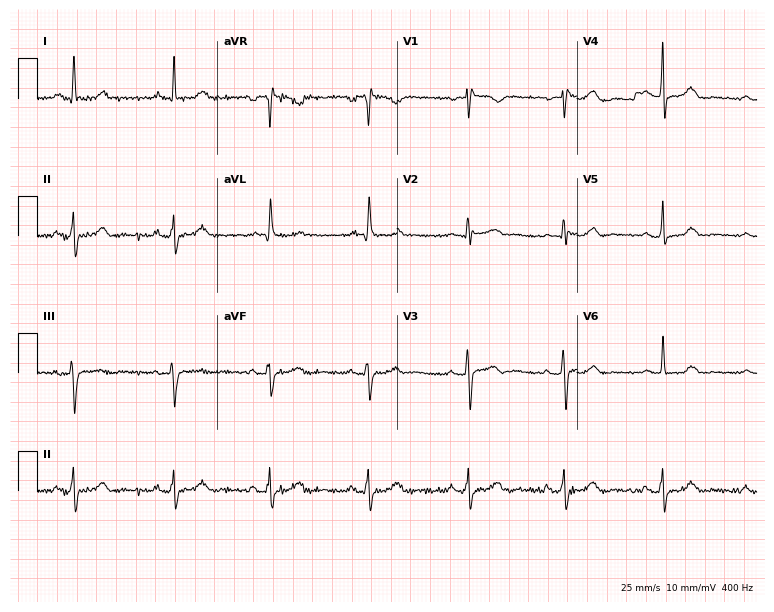
Electrocardiogram (7.3-second recording at 400 Hz), a female, 46 years old. Overall reading on record: normal ECG.